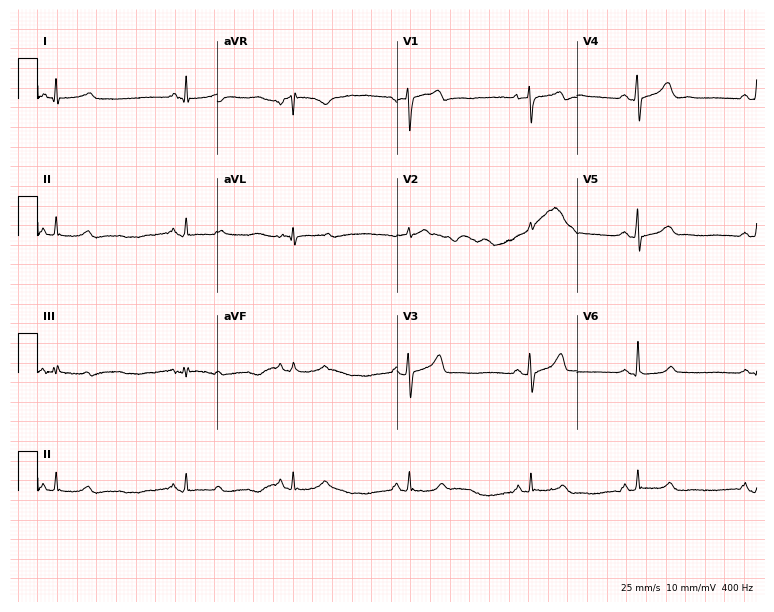
ECG (7.3-second recording at 400 Hz) — a 38-year-old male patient. Labelled as a normal ECG.